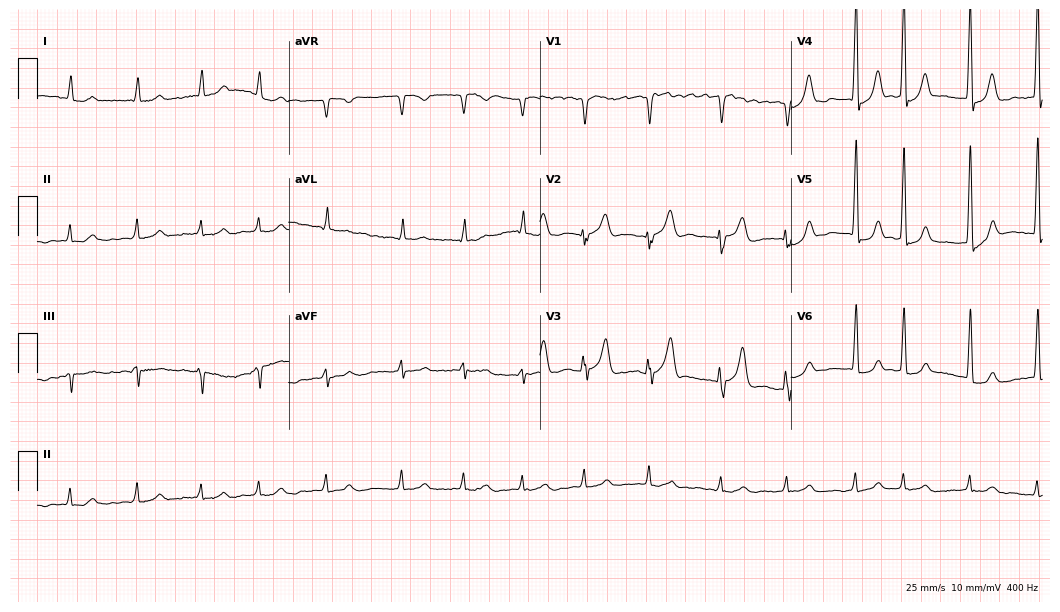
12-lead ECG from an 82-year-old male patient. Findings include atrial fibrillation.